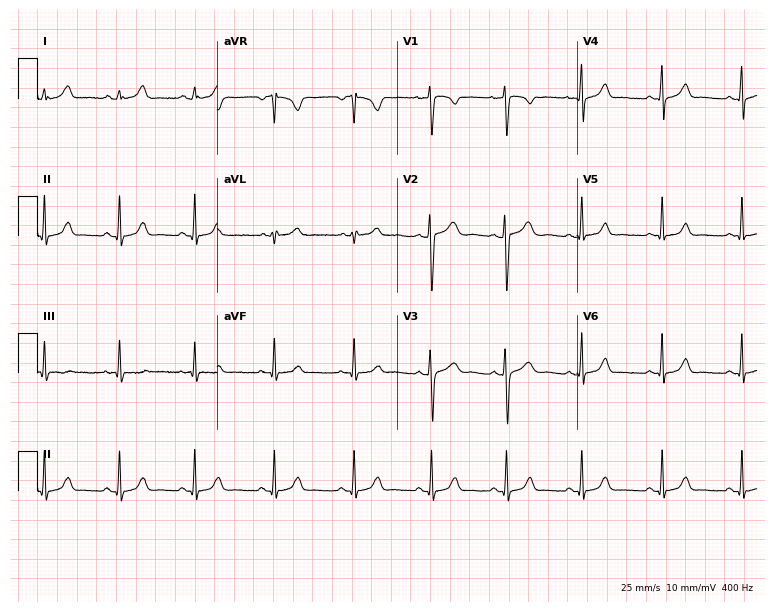
Resting 12-lead electrocardiogram (7.3-second recording at 400 Hz). Patient: a 22-year-old woman. Read as a normal ECG.